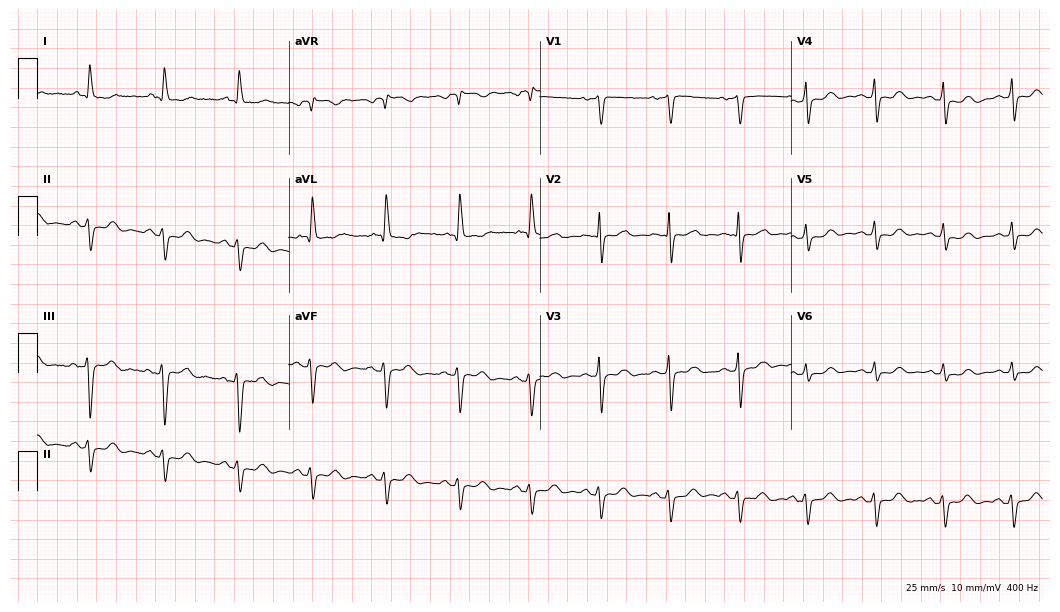
12-lead ECG from a female, 74 years old (10.2-second recording at 400 Hz). No first-degree AV block, right bundle branch block, left bundle branch block, sinus bradycardia, atrial fibrillation or sinus tachycardia recorded for this tracing. Only these six findings were labelled.